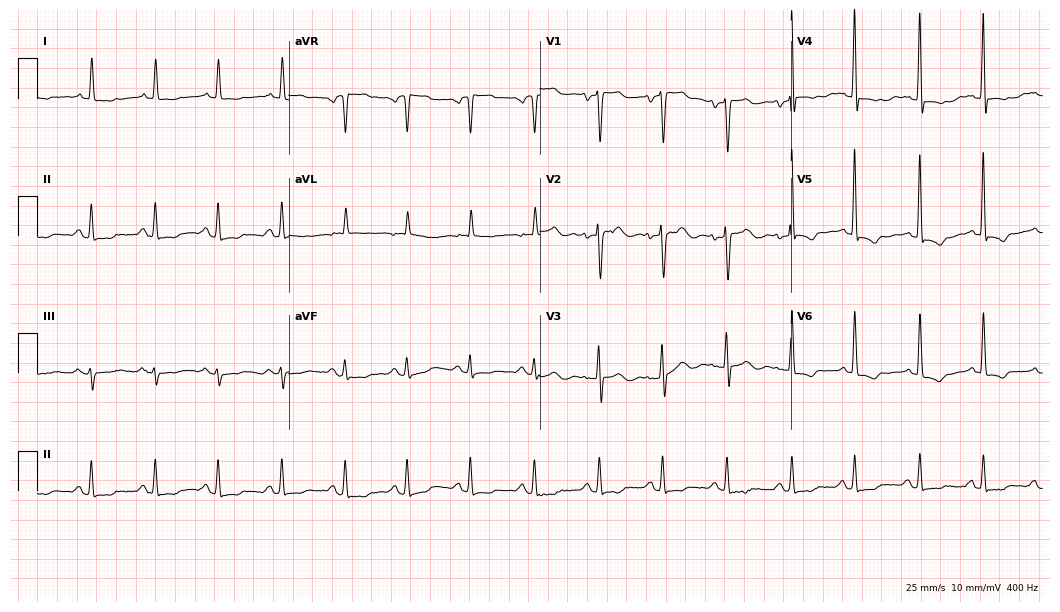
12-lead ECG (10.2-second recording at 400 Hz) from a female, 71 years old. Screened for six findings — first-degree AV block, right bundle branch block, left bundle branch block, sinus bradycardia, atrial fibrillation, sinus tachycardia — none is recorded.